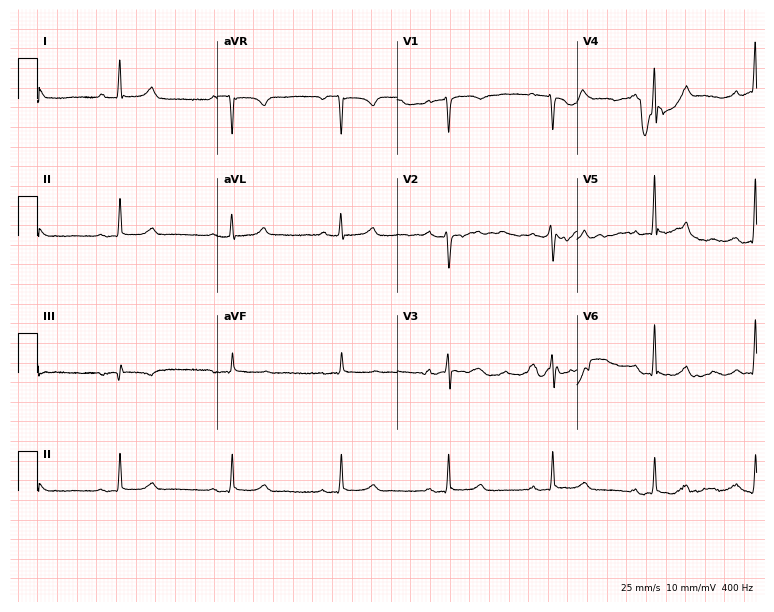
Resting 12-lead electrocardiogram (7.3-second recording at 400 Hz). Patient: a man, 73 years old. Read as a normal ECG.